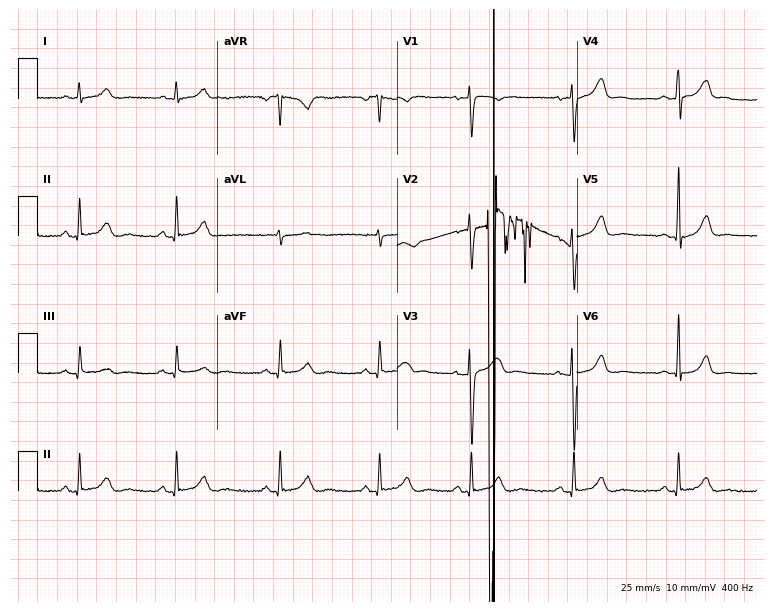
Resting 12-lead electrocardiogram. Patient: a 36-year-old female. Read as a normal ECG.